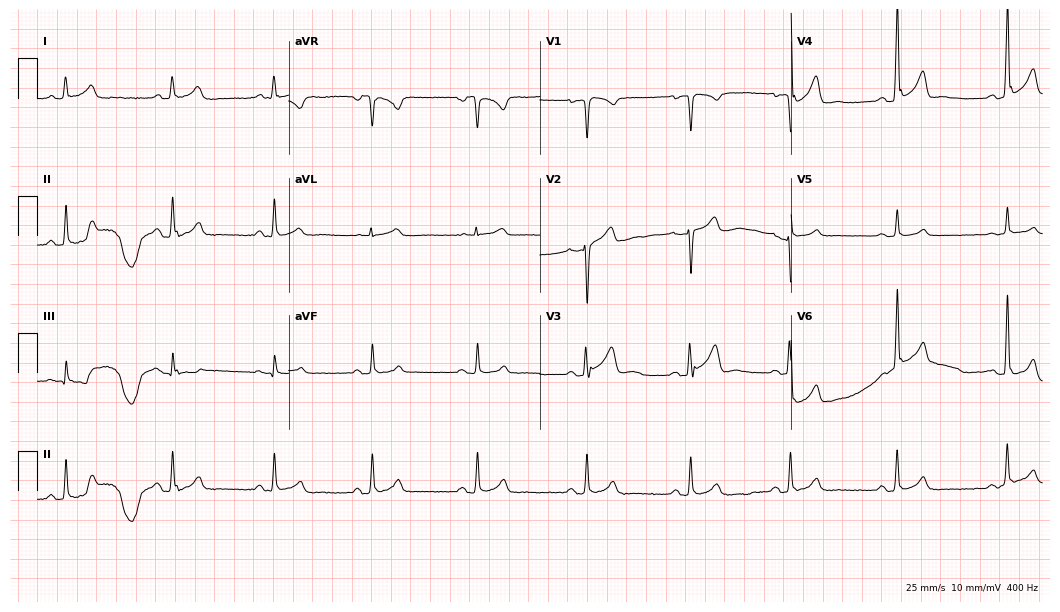
ECG (10.2-second recording at 400 Hz) — a 36-year-old man. Labelled as a normal ECG.